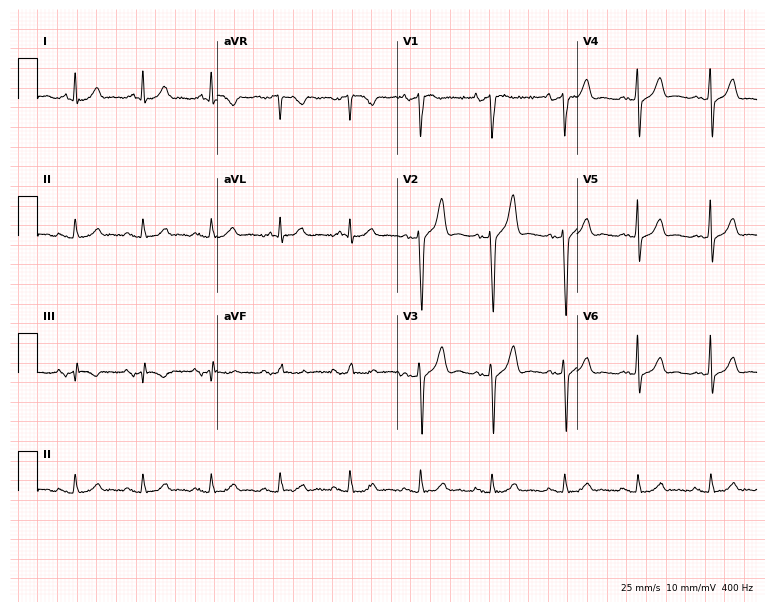
Resting 12-lead electrocardiogram (7.3-second recording at 400 Hz). Patient: a 74-year-old man. None of these six findings is recorded: first-degree AV block, right bundle branch block, left bundle branch block, sinus bradycardia, atrial fibrillation, sinus tachycardia. Findings outside these six are not listed.